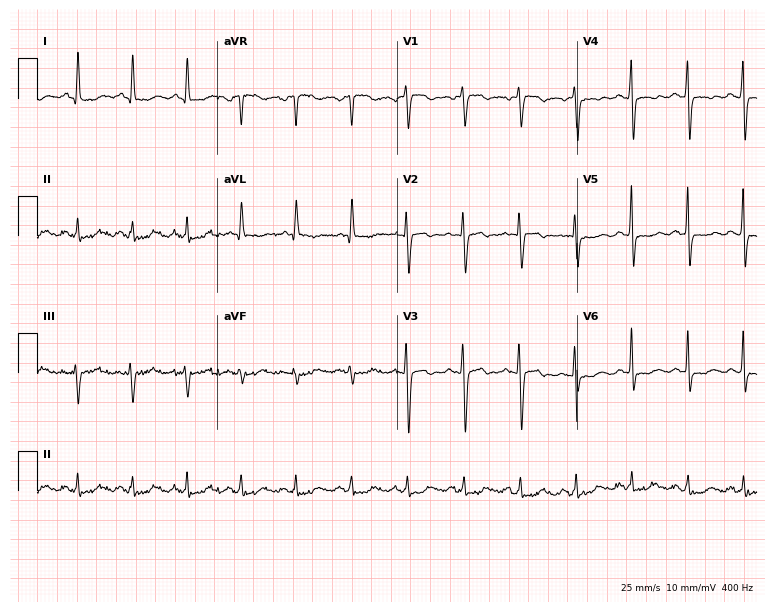
ECG — a 65-year-old female patient. Findings include sinus tachycardia (a sinus rate of 100 beats per minute or more).